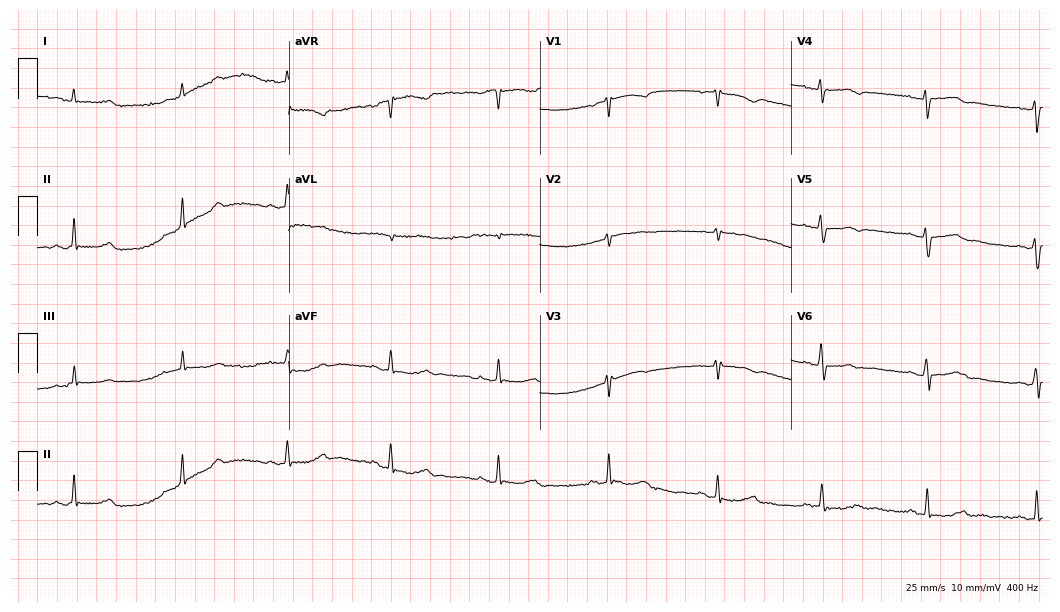
Resting 12-lead electrocardiogram. Patient: a 61-year-old female. None of these six findings is recorded: first-degree AV block, right bundle branch block, left bundle branch block, sinus bradycardia, atrial fibrillation, sinus tachycardia. Other findings, if any, are not listed.